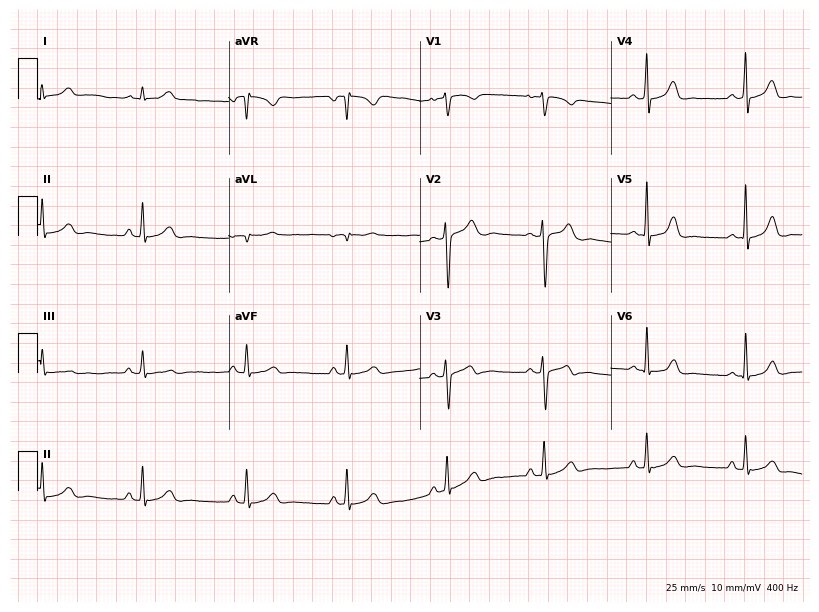
Resting 12-lead electrocardiogram. Patient: a woman, 18 years old. None of these six findings is recorded: first-degree AV block, right bundle branch block (RBBB), left bundle branch block (LBBB), sinus bradycardia, atrial fibrillation (AF), sinus tachycardia. Findings outside these six are not listed.